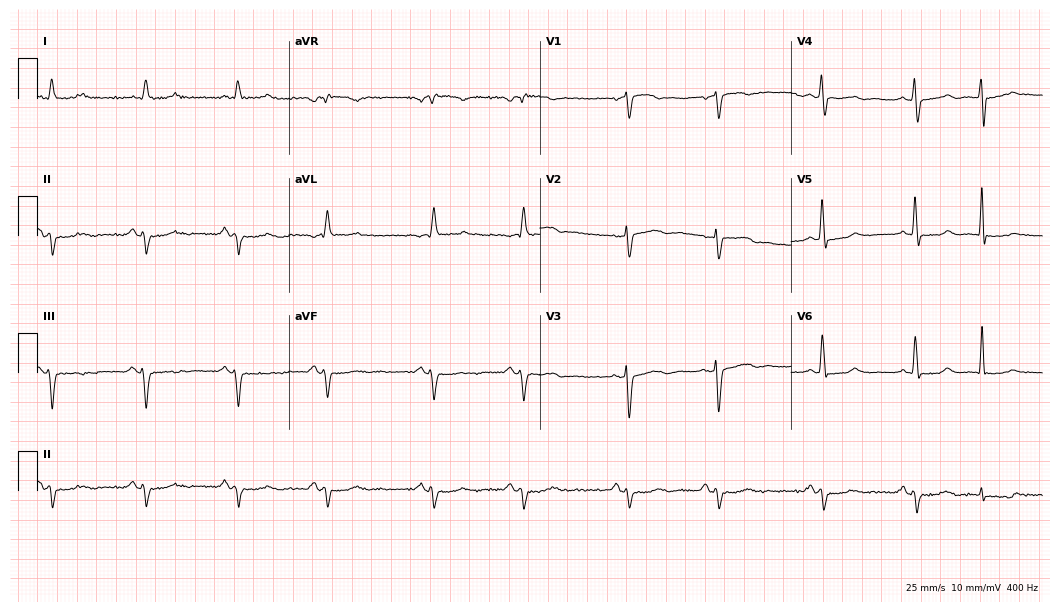
Electrocardiogram, a 77-year-old male patient. Of the six screened findings (first-degree AV block, right bundle branch block (RBBB), left bundle branch block (LBBB), sinus bradycardia, atrial fibrillation (AF), sinus tachycardia), none is recorded. Only these six findings were labelled.